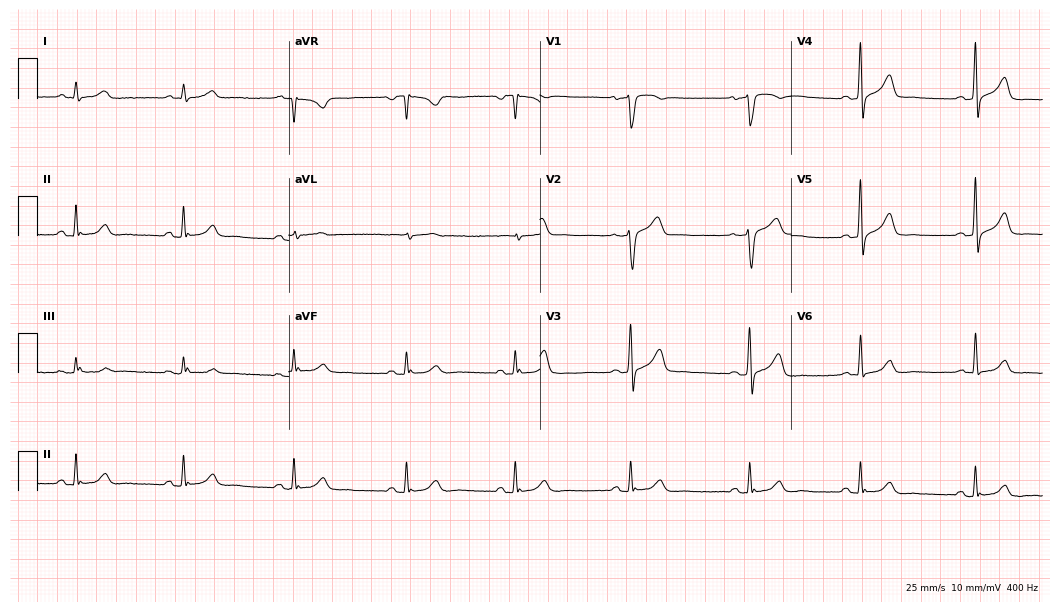
12-lead ECG (10.2-second recording at 400 Hz) from a male, 50 years old. Screened for six findings — first-degree AV block, right bundle branch block (RBBB), left bundle branch block (LBBB), sinus bradycardia, atrial fibrillation (AF), sinus tachycardia — none is recorded.